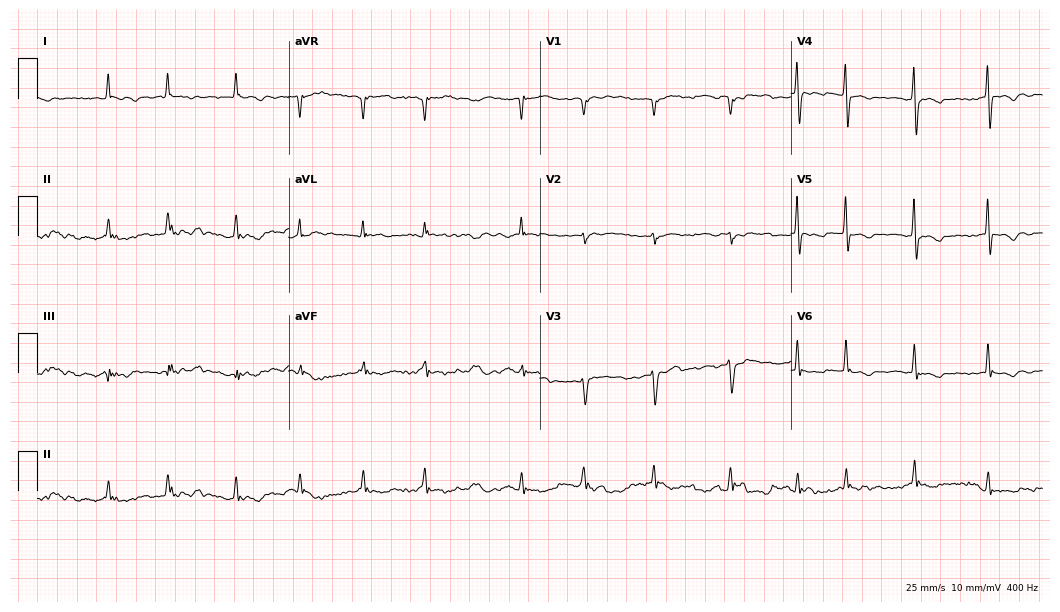
Electrocardiogram (10.2-second recording at 400 Hz), a 71-year-old female patient. Interpretation includes atrial fibrillation.